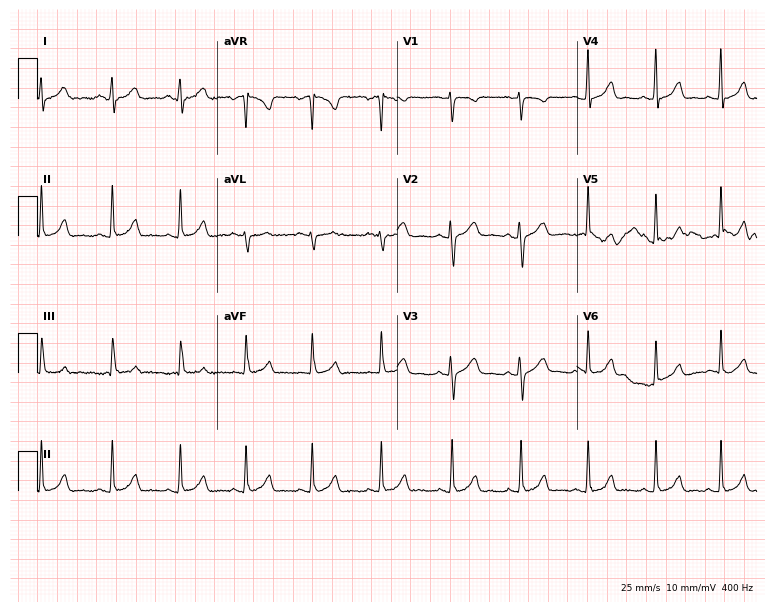
ECG (7.3-second recording at 400 Hz) — a 30-year-old female patient. Labelled as a normal ECG.